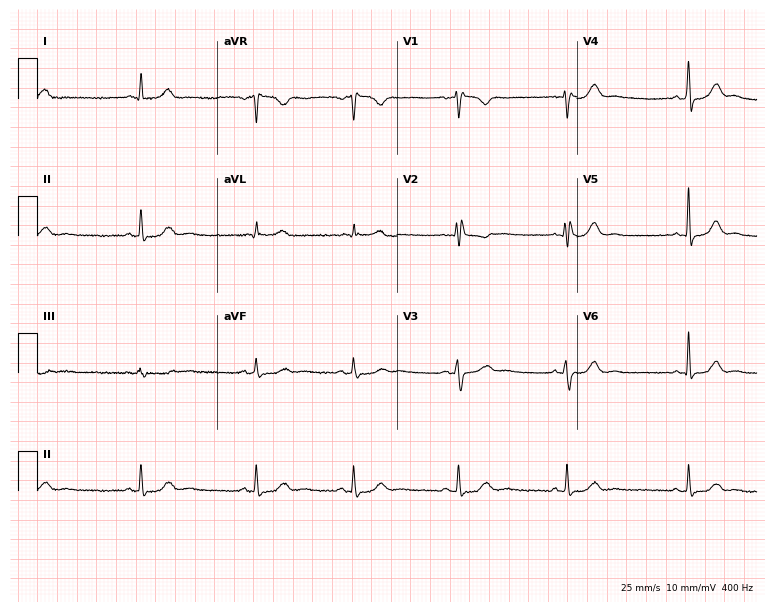
12-lead ECG from a 32-year-old woman. No first-degree AV block, right bundle branch block (RBBB), left bundle branch block (LBBB), sinus bradycardia, atrial fibrillation (AF) or sinus tachycardia recorded for this tracing.